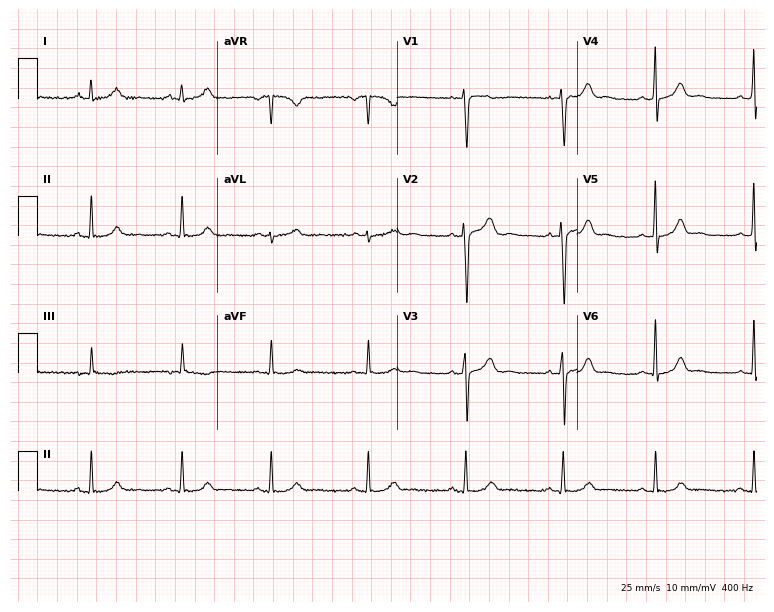
ECG (7.3-second recording at 400 Hz) — a 24-year-old female. Labelled as a normal ECG.